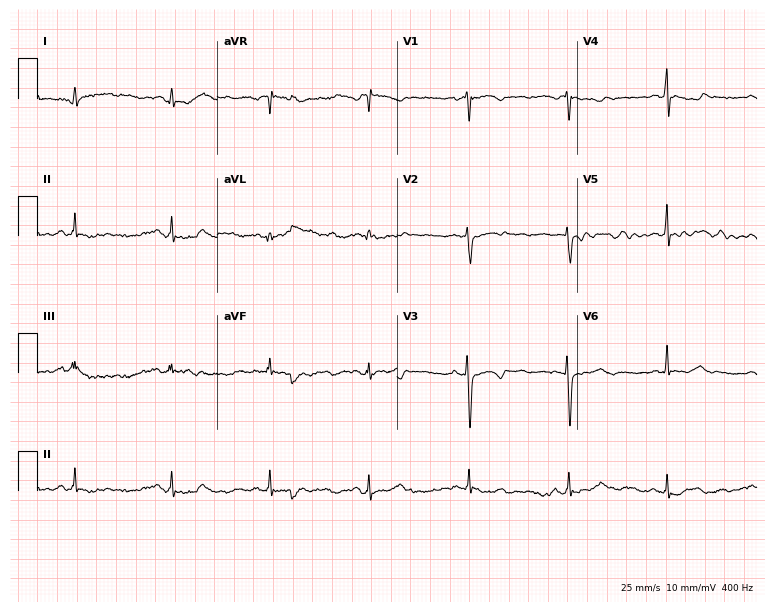
Resting 12-lead electrocardiogram. Patient: a female, 59 years old. None of these six findings is recorded: first-degree AV block, right bundle branch block, left bundle branch block, sinus bradycardia, atrial fibrillation, sinus tachycardia.